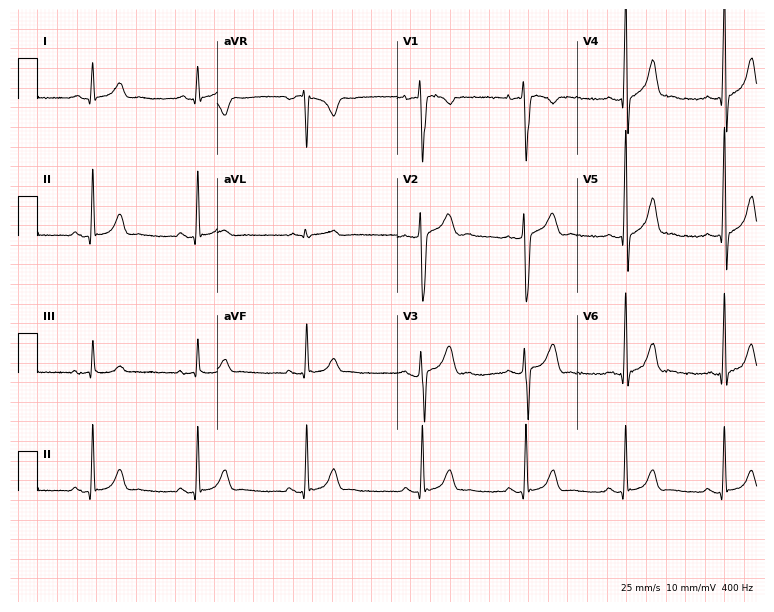
Resting 12-lead electrocardiogram (7.3-second recording at 400 Hz). Patient: a man, 20 years old. Read as a normal ECG.